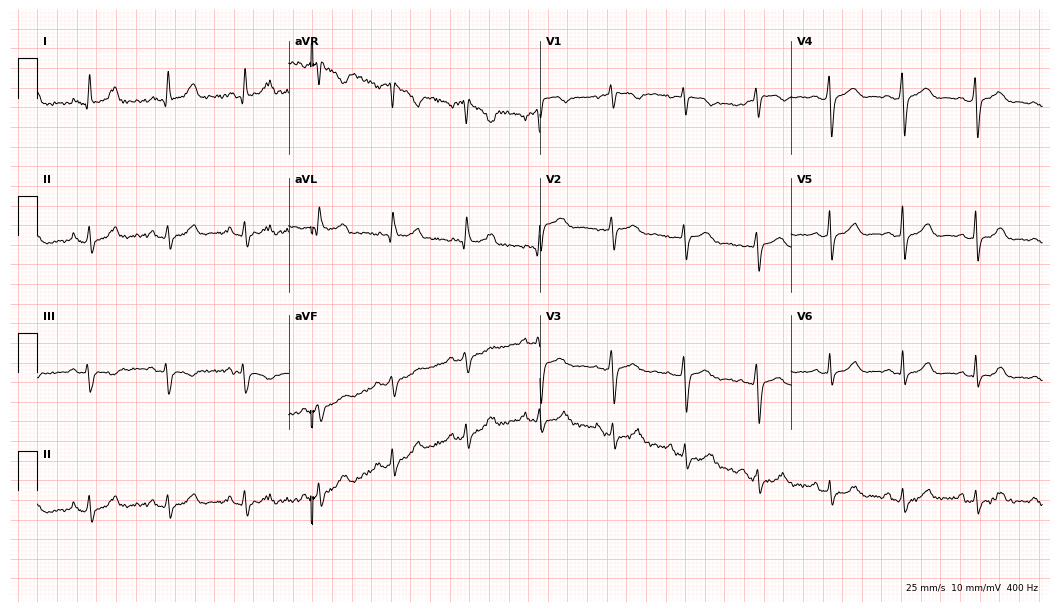
Resting 12-lead electrocardiogram (10.2-second recording at 400 Hz). Patient: a 56-year-old female. None of these six findings is recorded: first-degree AV block, right bundle branch block (RBBB), left bundle branch block (LBBB), sinus bradycardia, atrial fibrillation (AF), sinus tachycardia.